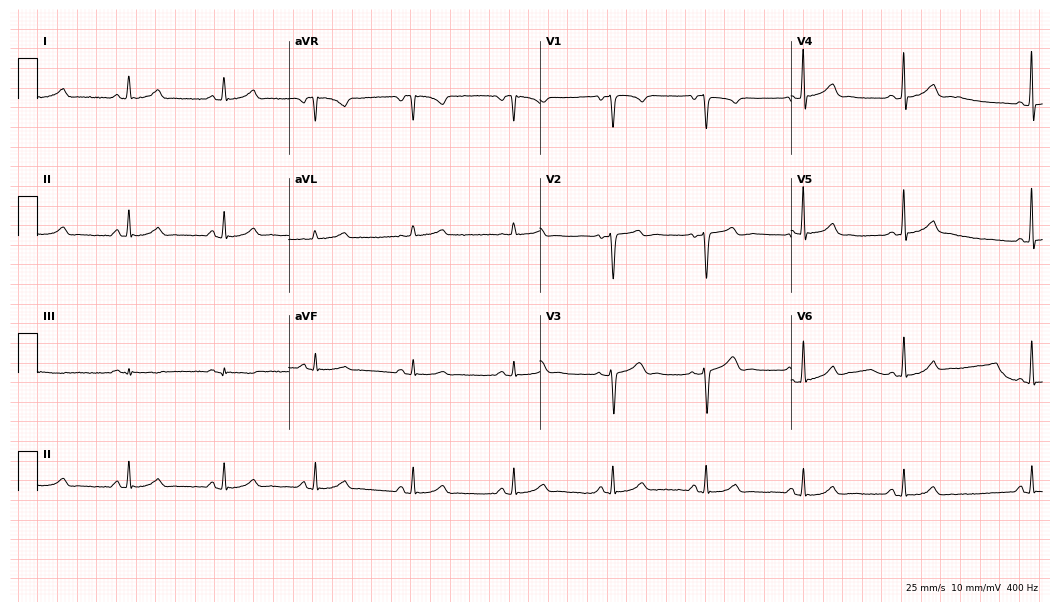
Electrocardiogram, a 43-year-old woman. Overall reading on record: normal ECG.